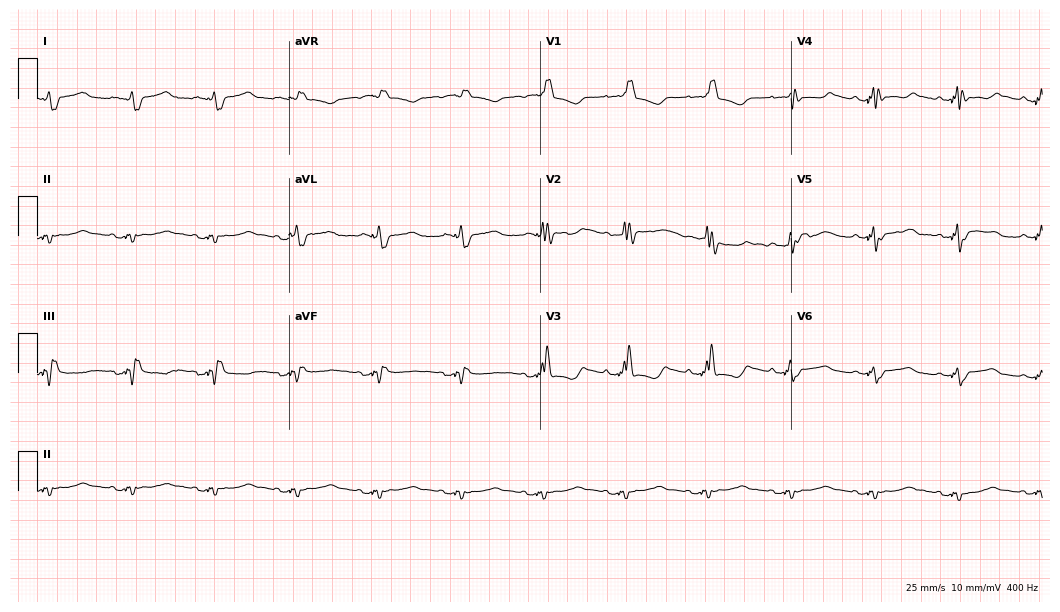
ECG (10.2-second recording at 400 Hz) — a 66-year-old female. Screened for six findings — first-degree AV block, right bundle branch block, left bundle branch block, sinus bradycardia, atrial fibrillation, sinus tachycardia — none is recorded.